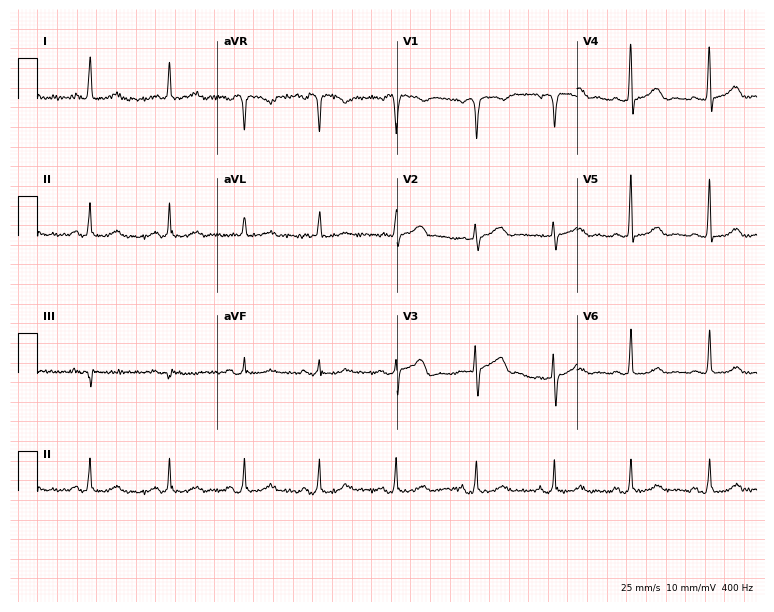
Standard 12-lead ECG recorded from a 47-year-old woman. Read as a normal ECG.